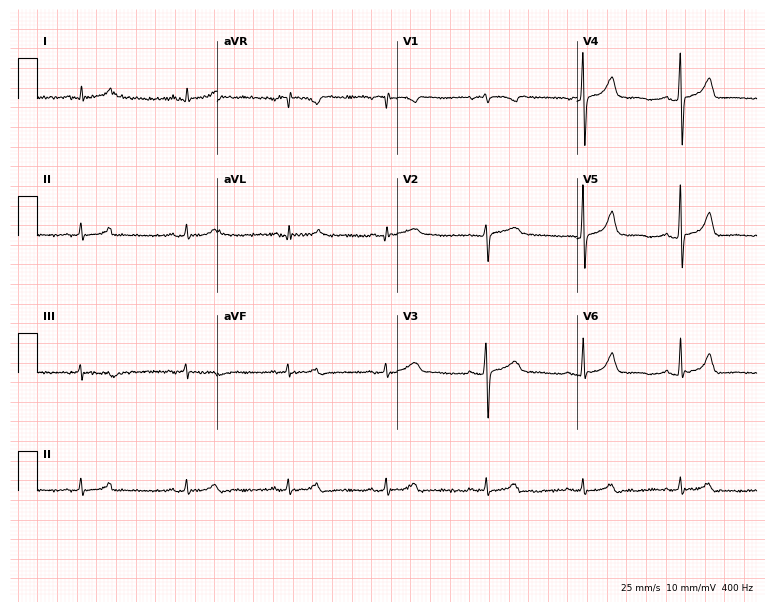
12-lead ECG from a 65-year-old female patient. Recorded interpretation: within normal limits.